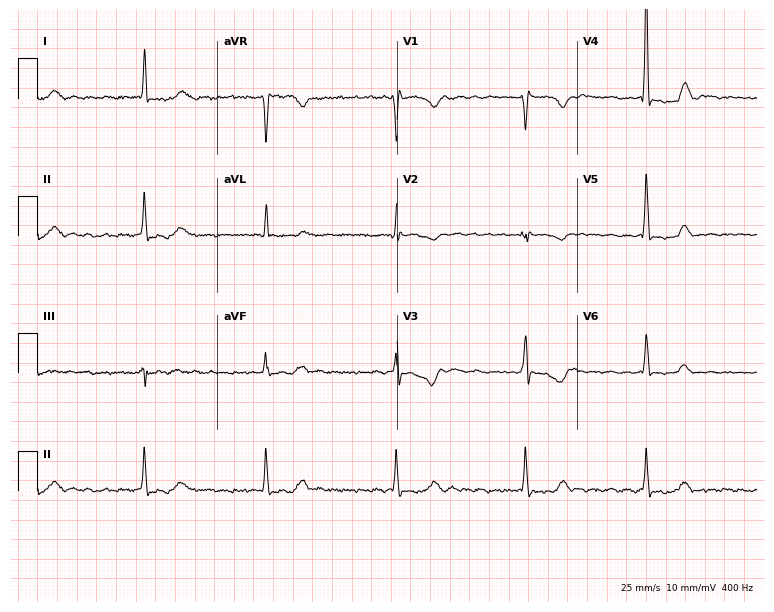
Standard 12-lead ECG recorded from a 76-year-old female patient. None of these six findings is recorded: first-degree AV block, right bundle branch block, left bundle branch block, sinus bradycardia, atrial fibrillation, sinus tachycardia. Only these six findings were labelled.